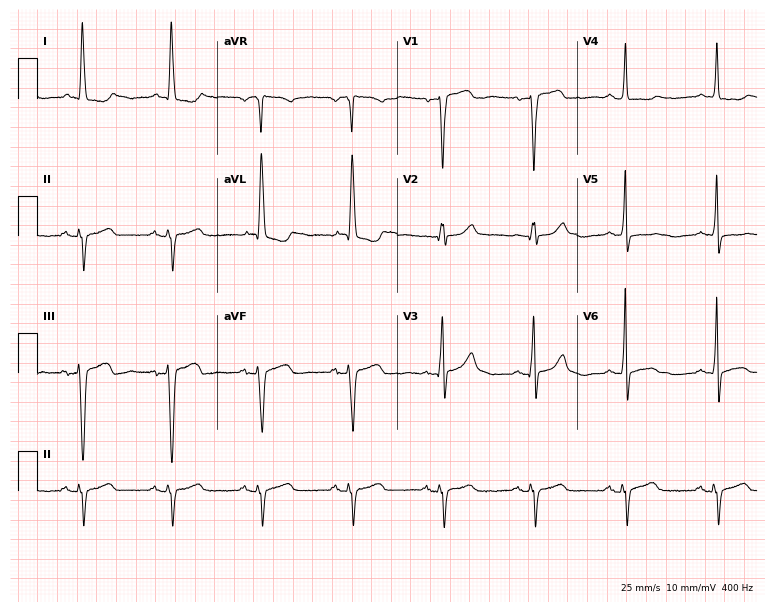
Resting 12-lead electrocardiogram. Patient: a female, 82 years old. None of these six findings is recorded: first-degree AV block, right bundle branch block, left bundle branch block, sinus bradycardia, atrial fibrillation, sinus tachycardia.